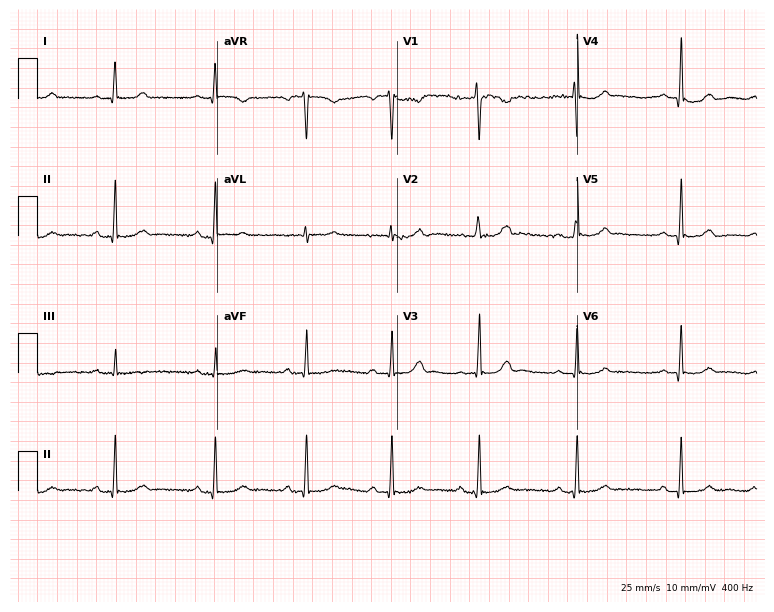
Resting 12-lead electrocardiogram. Patient: a female, 17 years old. Read as a normal ECG.